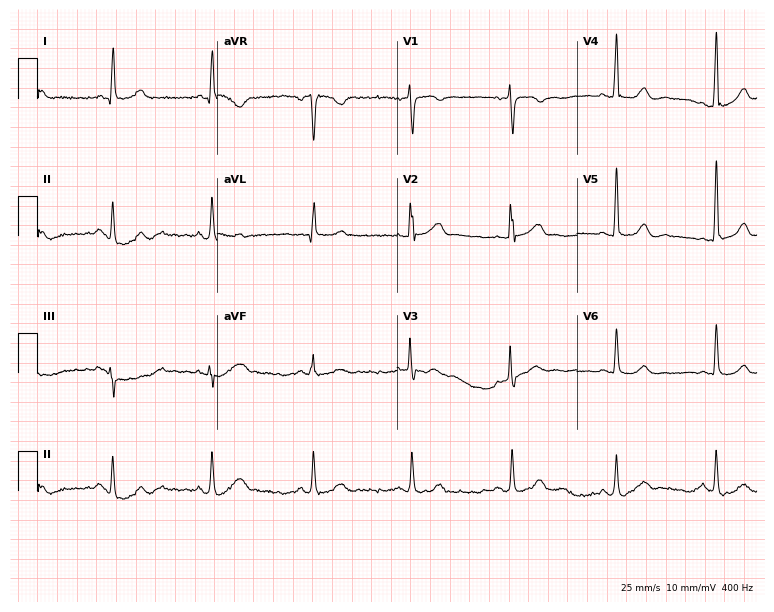
Standard 12-lead ECG recorded from a 79-year-old woman (7.3-second recording at 400 Hz). Read as a normal ECG.